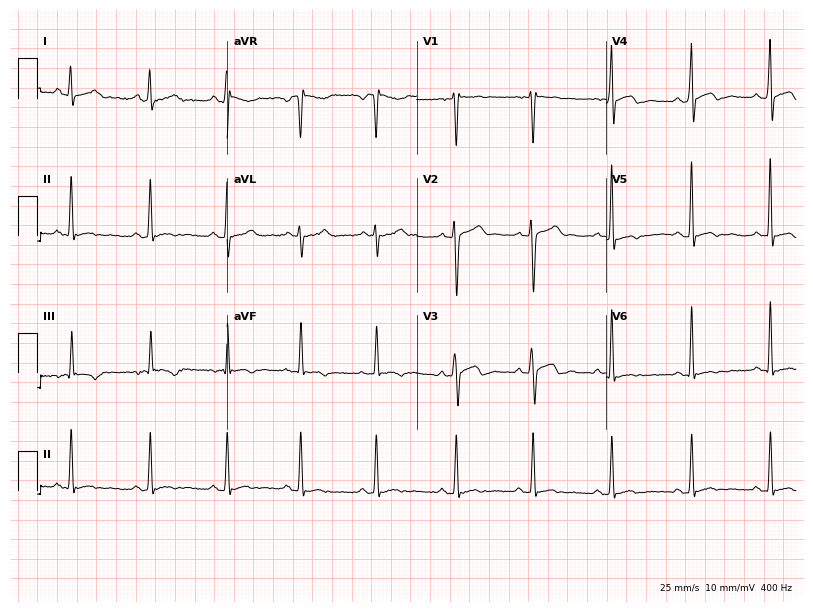
ECG — a 39-year-old male patient. Screened for six findings — first-degree AV block, right bundle branch block, left bundle branch block, sinus bradycardia, atrial fibrillation, sinus tachycardia — none is recorded.